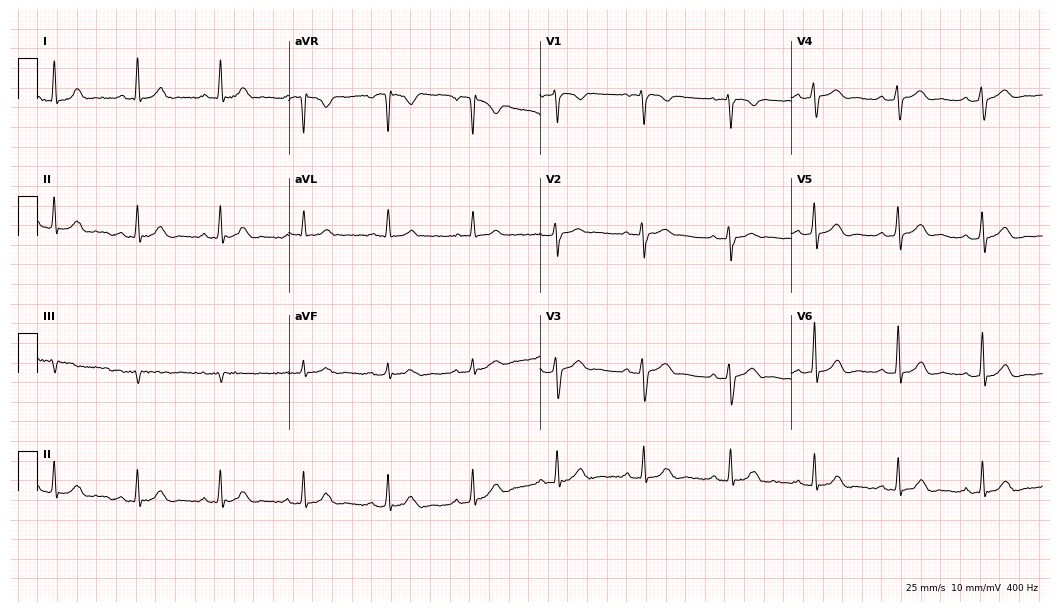
Electrocardiogram (10.2-second recording at 400 Hz), a 43-year-old male. Overall reading on record: normal ECG.